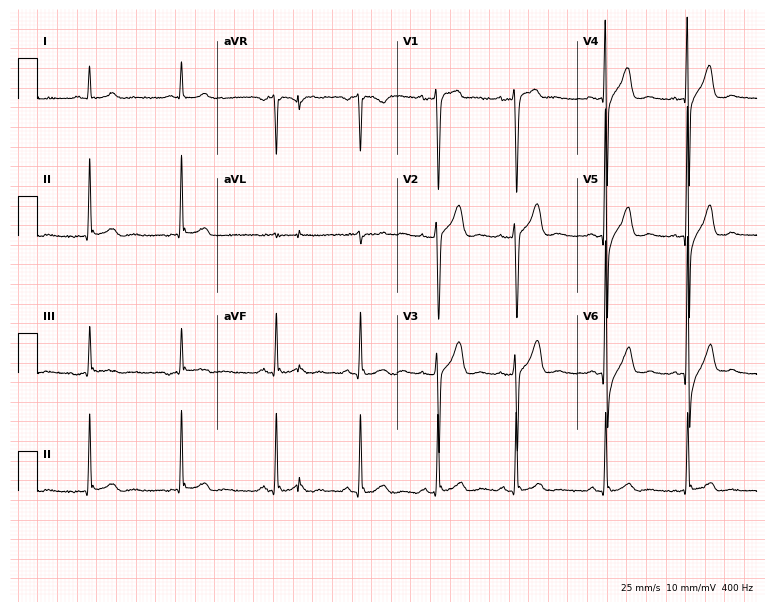
Standard 12-lead ECG recorded from a 26-year-old male patient (7.3-second recording at 400 Hz). None of these six findings is recorded: first-degree AV block, right bundle branch block, left bundle branch block, sinus bradycardia, atrial fibrillation, sinus tachycardia. Findings outside these six are not listed.